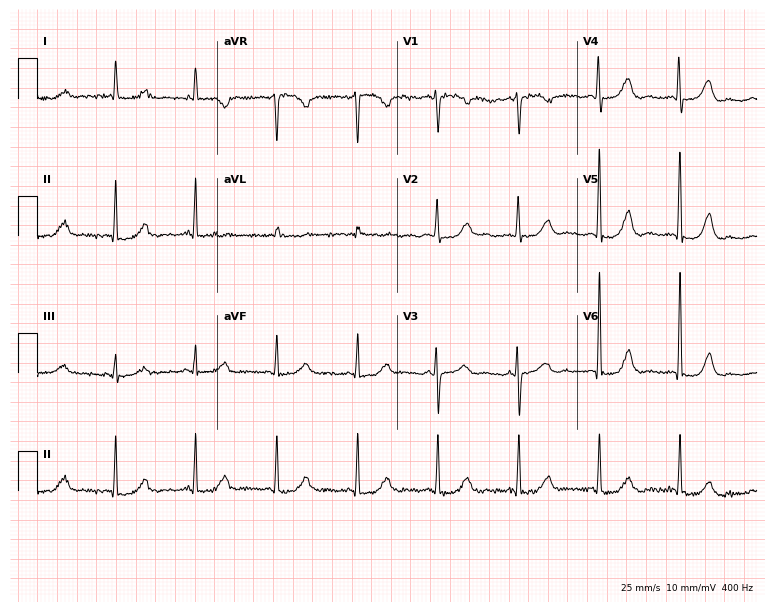
Resting 12-lead electrocardiogram. Patient: a female, 80 years old. Read as a normal ECG.